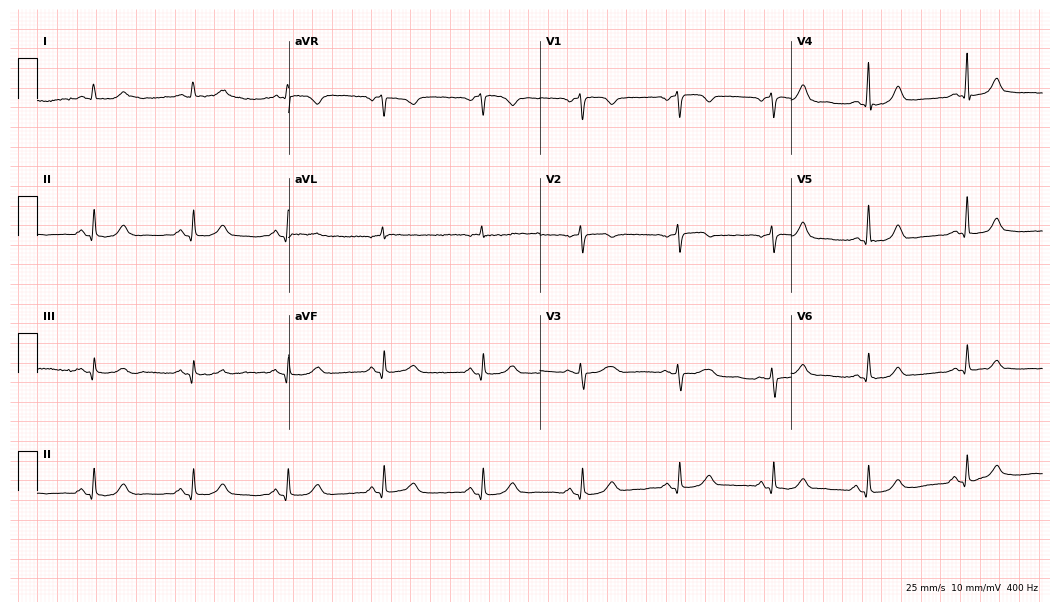
12-lead ECG from a woman, 56 years old. Labelled as a normal ECG.